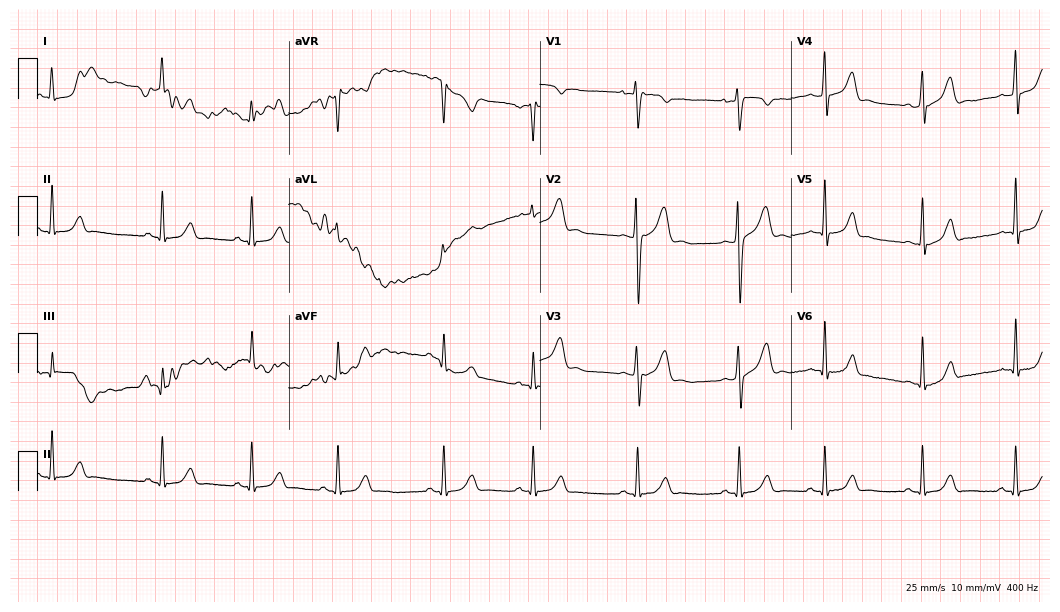
Electrocardiogram, a 19-year-old woman. Overall reading on record: normal ECG.